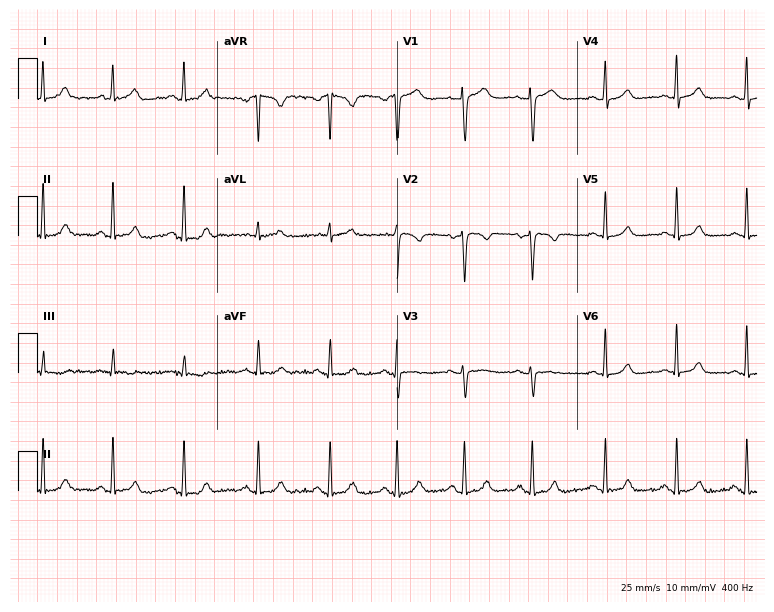
ECG — a female, 31 years old. Labelled as a normal ECG.